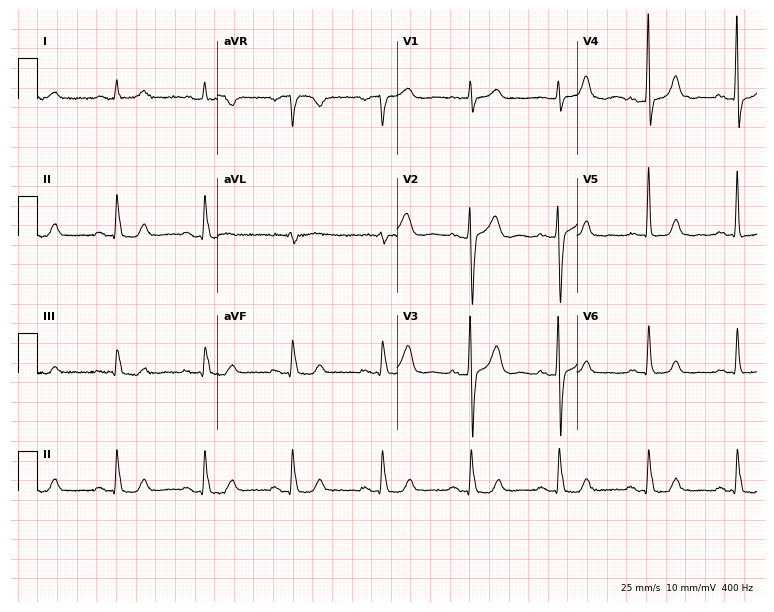
12-lead ECG from a 71-year-old male patient. Labelled as a normal ECG.